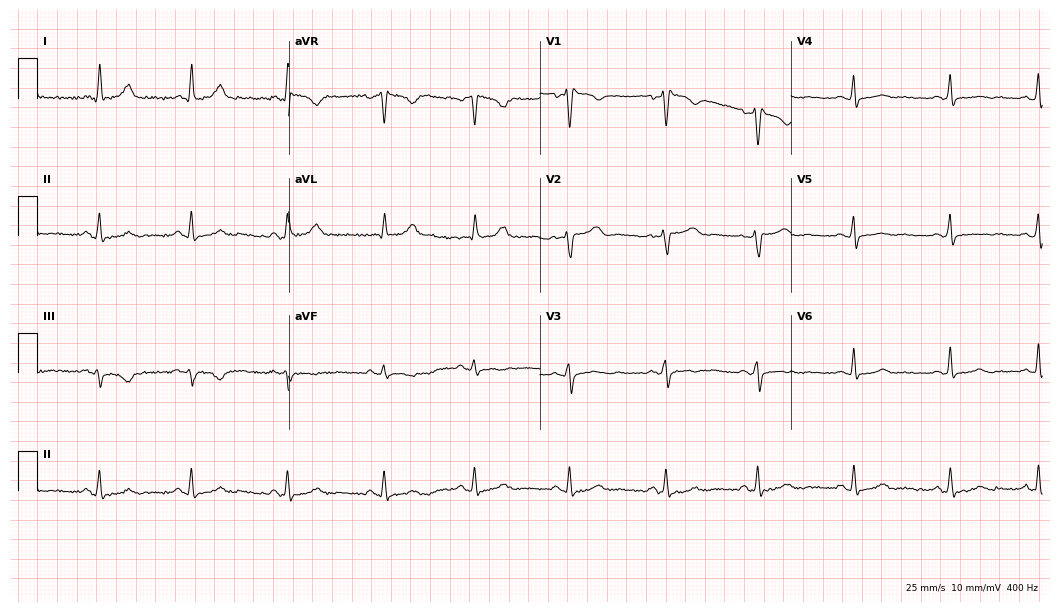
12-lead ECG from a 36-year-old female. No first-degree AV block, right bundle branch block (RBBB), left bundle branch block (LBBB), sinus bradycardia, atrial fibrillation (AF) or sinus tachycardia recorded for this tracing. Findings outside these six are not listed.